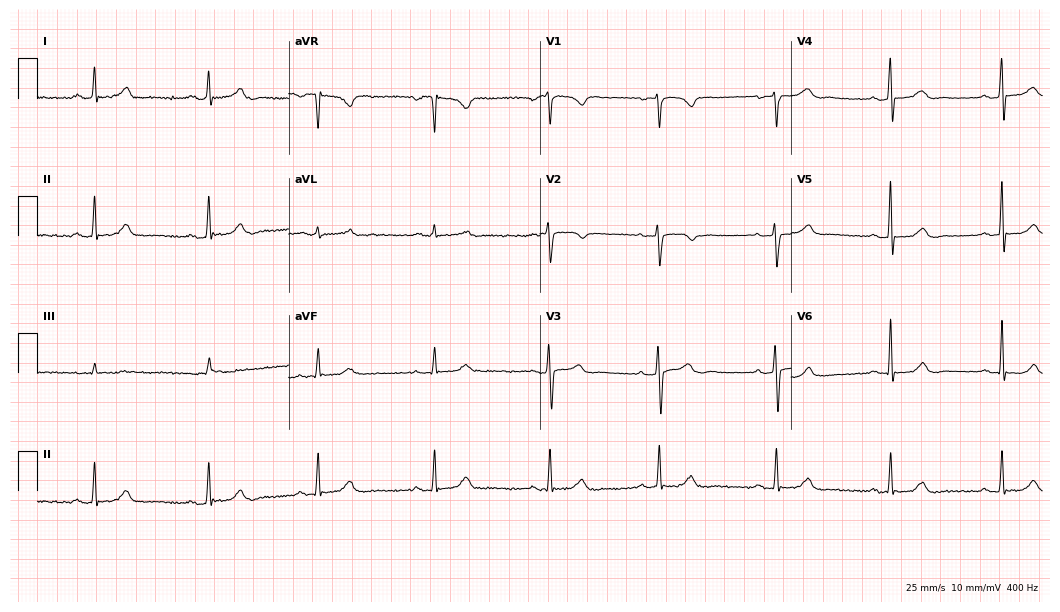
Resting 12-lead electrocardiogram. Patient: a female, 43 years old. Read as a normal ECG.